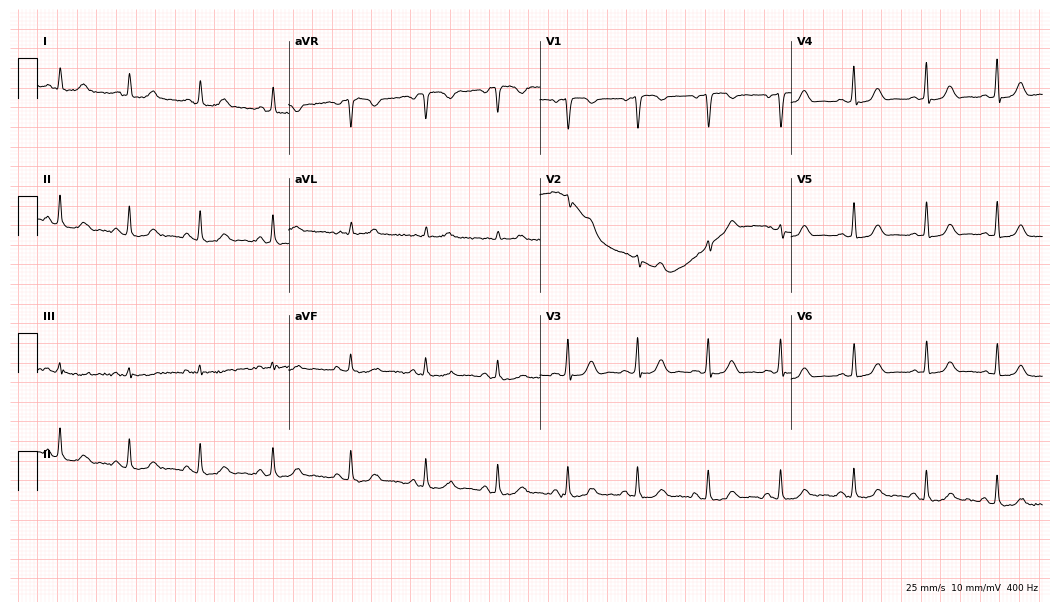
Standard 12-lead ECG recorded from a 42-year-old female (10.2-second recording at 400 Hz). None of these six findings is recorded: first-degree AV block, right bundle branch block, left bundle branch block, sinus bradycardia, atrial fibrillation, sinus tachycardia.